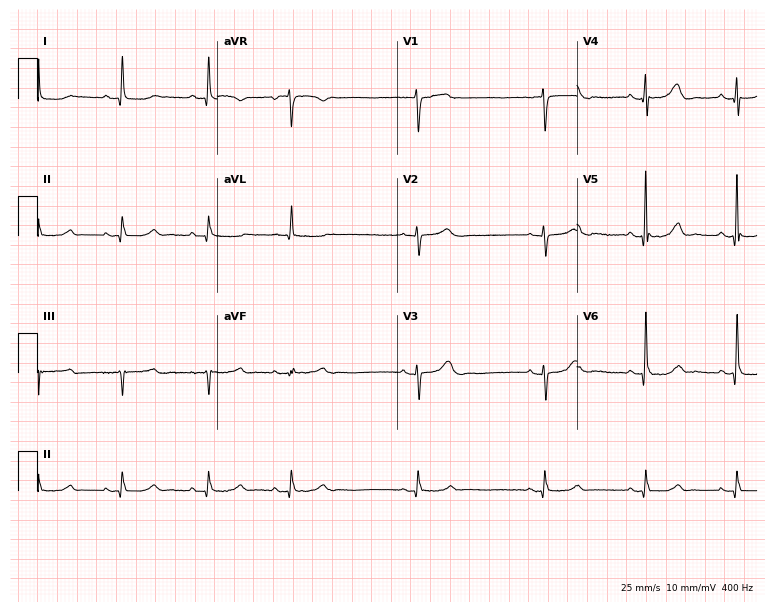
ECG — an 80-year-old male patient. Screened for six findings — first-degree AV block, right bundle branch block (RBBB), left bundle branch block (LBBB), sinus bradycardia, atrial fibrillation (AF), sinus tachycardia — none is recorded. Only these six findings were labelled.